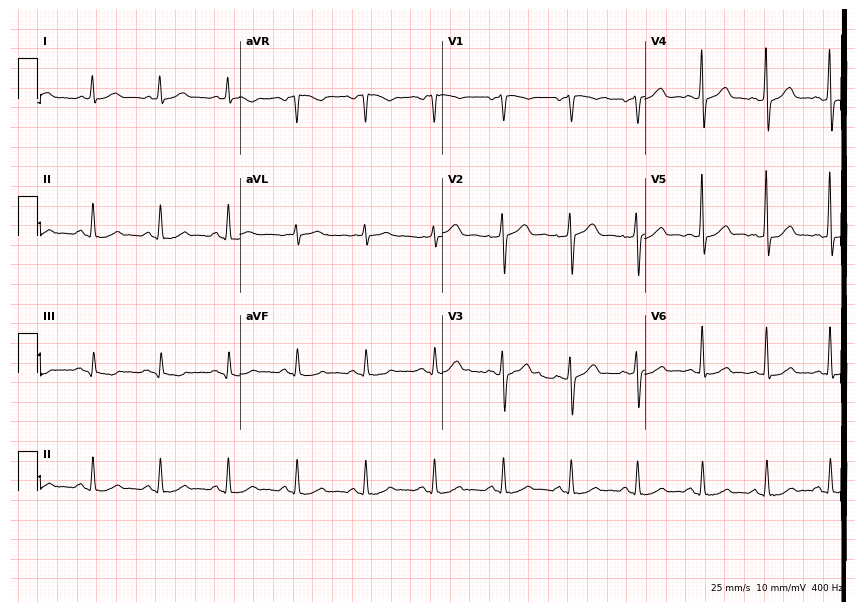
12-lead ECG (8.3-second recording at 400 Hz) from a 65-year-old man. Screened for six findings — first-degree AV block, right bundle branch block, left bundle branch block, sinus bradycardia, atrial fibrillation, sinus tachycardia — none is recorded.